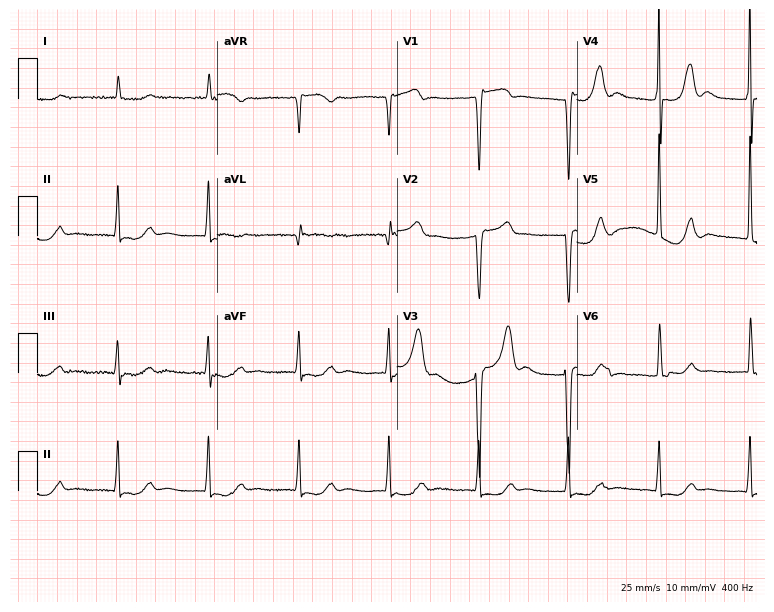
12-lead ECG from an 83-year-old woman. Screened for six findings — first-degree AV block, right bundle branch block (RBBB), left bundle branch block (LBBB), sinus bradycardia, atrial fibrillation (AF), sinus tachycardia — none is recorded. Findings outside these six are not listed.